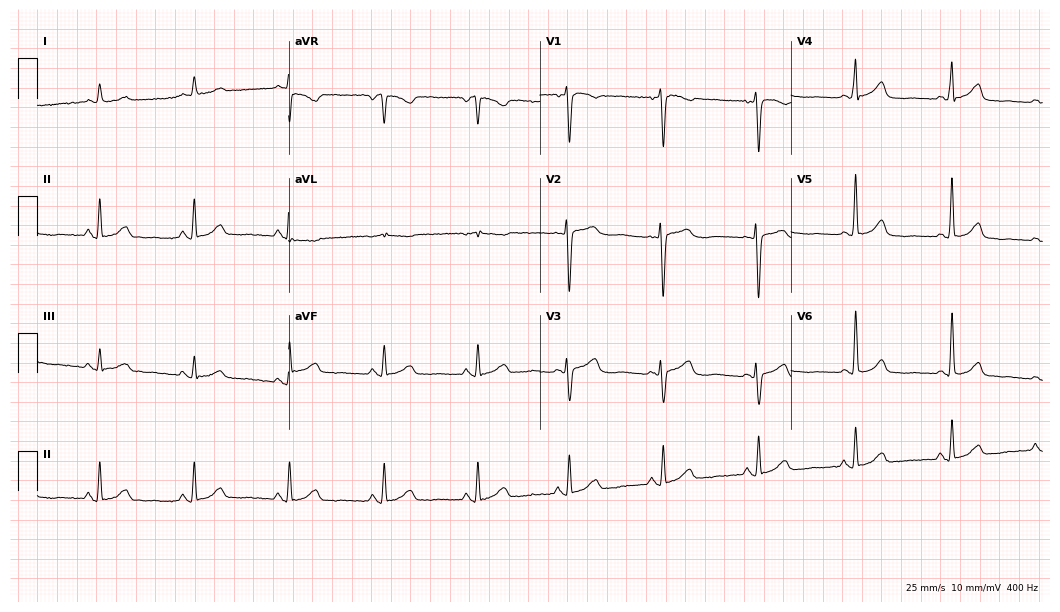
Electrocardiogram (10.2-second recording at 400 Hz), a 58-year-old female patient. Of the six screened findings (first-degree AV block, right bundle branch block, left bundle branch block, sinus bradycardia, atrial fibrillation, sinus tachycardia), none is recorded. Findings outside these six are not listed.